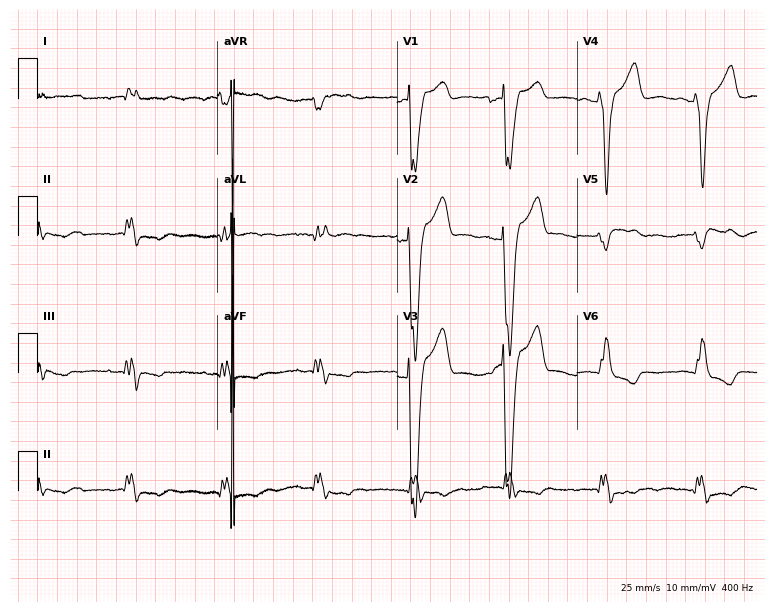
ECG — a female, 52 years old. Findings include left bundle branch block.